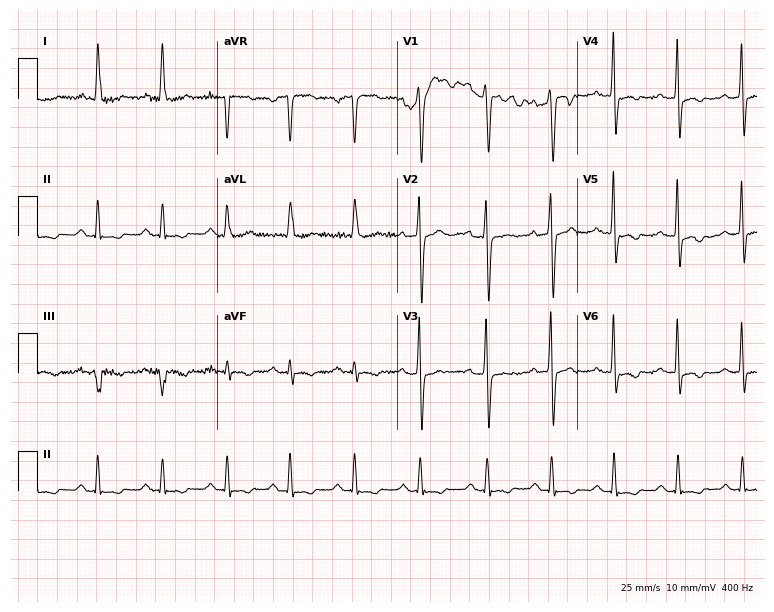
Standard 12-lead ECG recorded from a male patient, 42 years old (7.3-second recording at 400 Hz). None of these six findings is recorded: first-degree AV block, right bundle branch block, left bundle branch block, sinus bradycardia, atrial fibrillation, sinus tachycardia.